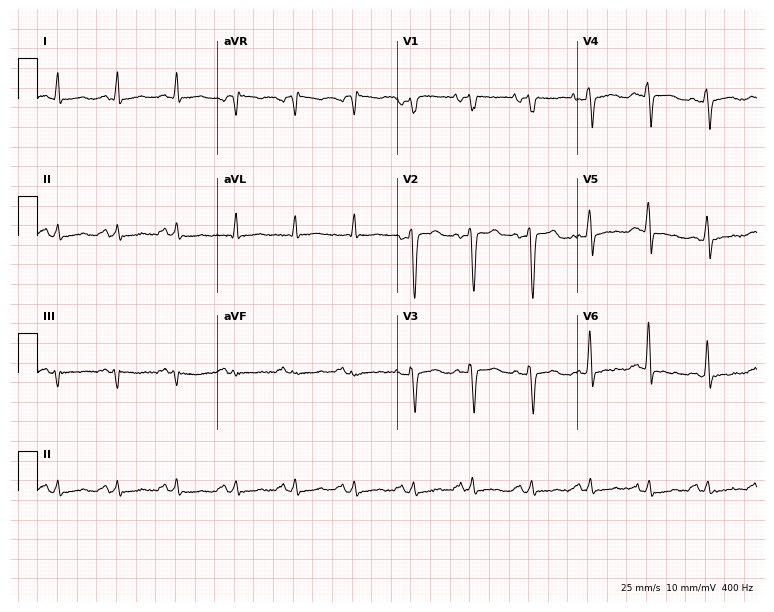
12-lead ECG (7.3-second recording at 400 Hz) from a 38-year-old male. Labelled as a normal ECG.